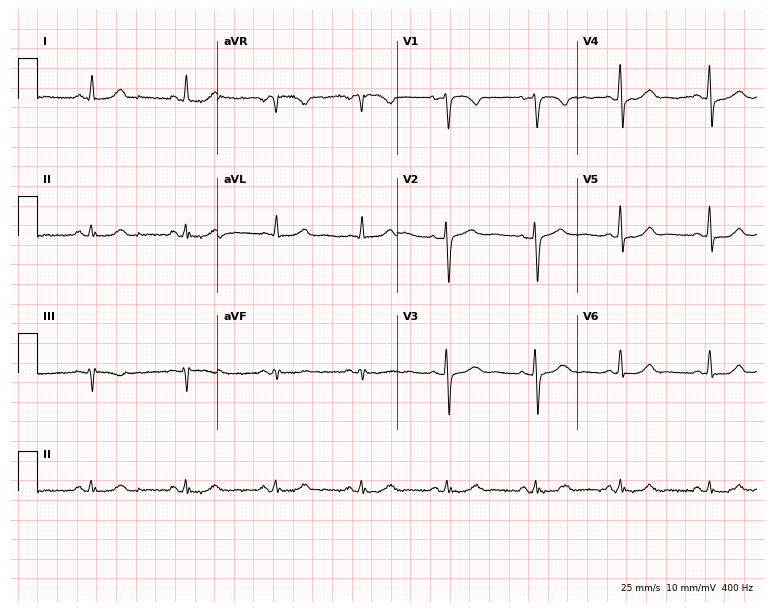
Electrocardiogram (7.3-second recording at 400 Hz), a female patient, 51 years old. Overall reading on record: normal ECG.